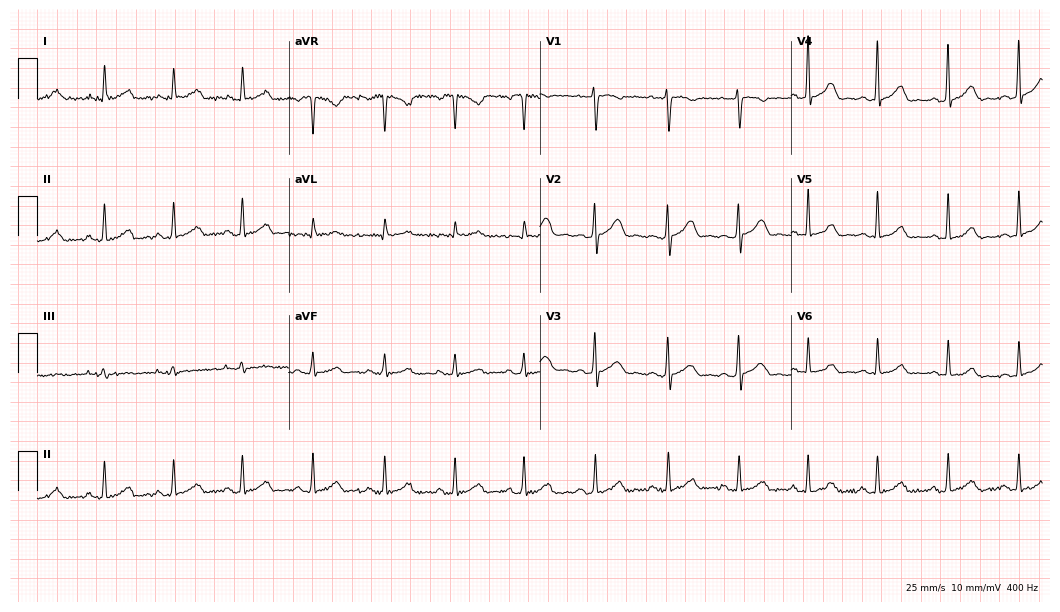
ECG (10.2-second recording at 400 Hz) — a 27-year-old female. Labelled as a normal ECG.